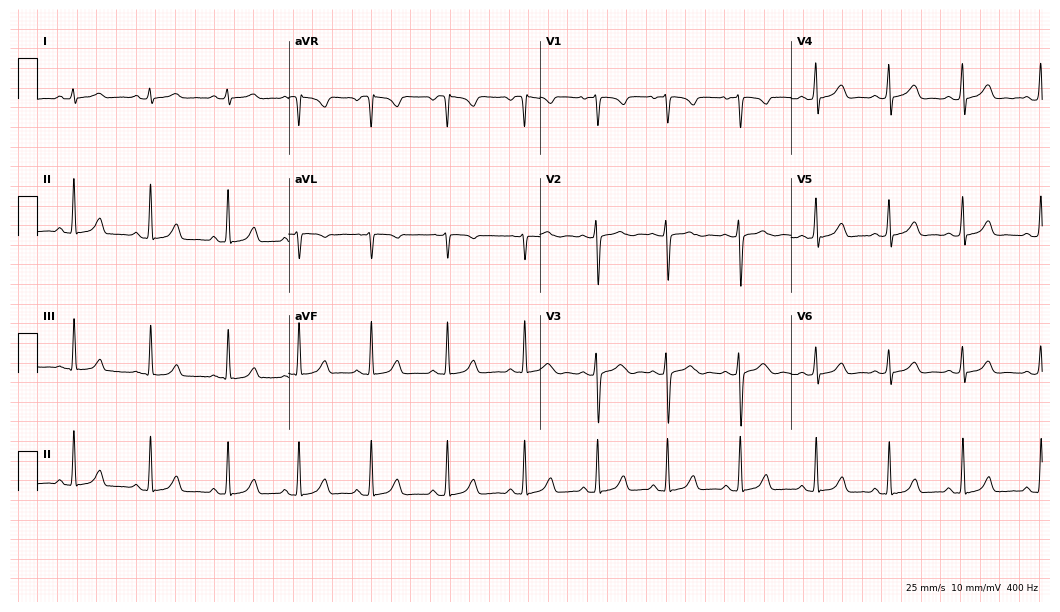
ECG — a female patient, 17 years old. Labelled as a normal ECG.